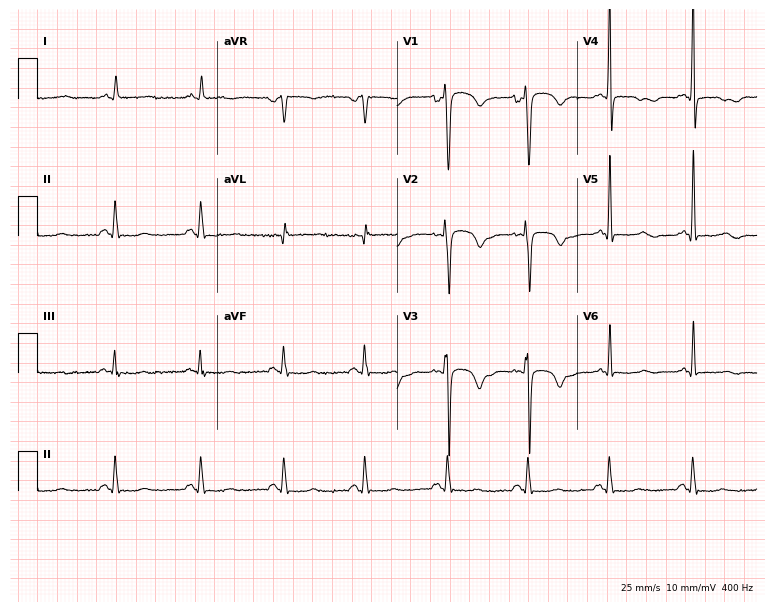
Electrocardiogram (7.3-second recording at 400 Hz), a 73-year-old male patient. Of the six screened findings (first-degree AV block, right bundle branch block (RBBB), left bundle branch block (LBBB), sinus bradycardia, atrial fibrillation (AF), sinus tachycardia), none is recorded. Findings outside these six are not listed.